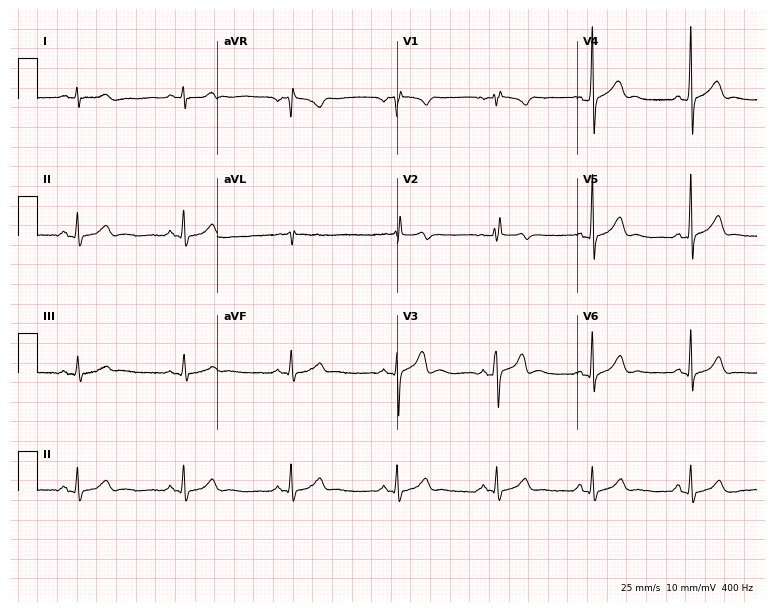
12-lead ECG (7.3-second recording at 400 Hz) from a 20-year-old male. Labelled as a normal ECG.